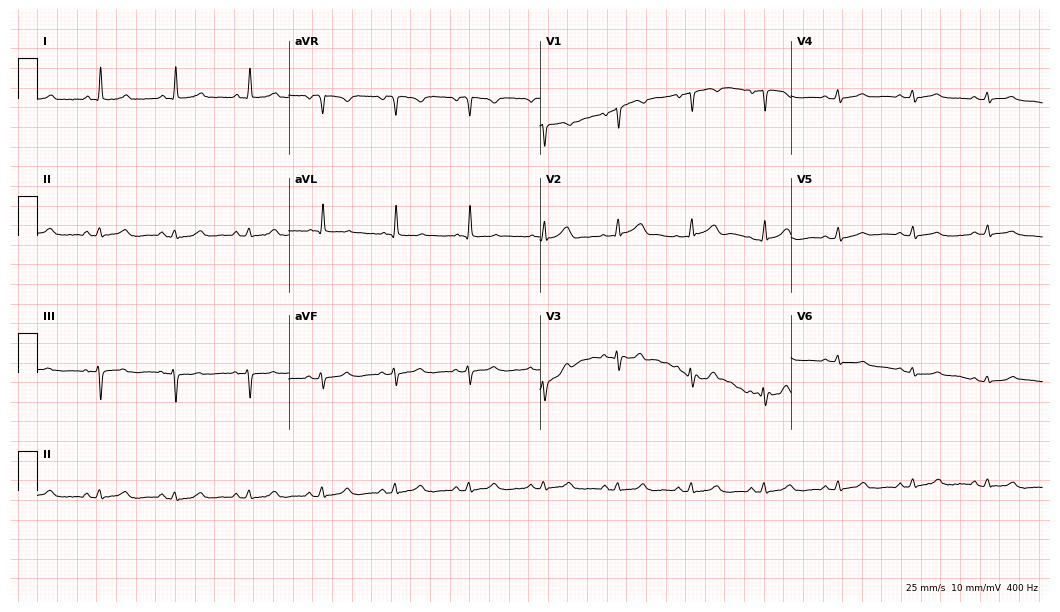
12-lead ECG from a woman, 71 years old (10.2-second recording at 400 Hz). No first-degree AV block, right bundle branch block, left bundle branch block, sinus bradycardia, atrial fibrillation or sinus tachycardia recorded for this tracing. Only these six findings were labelled.